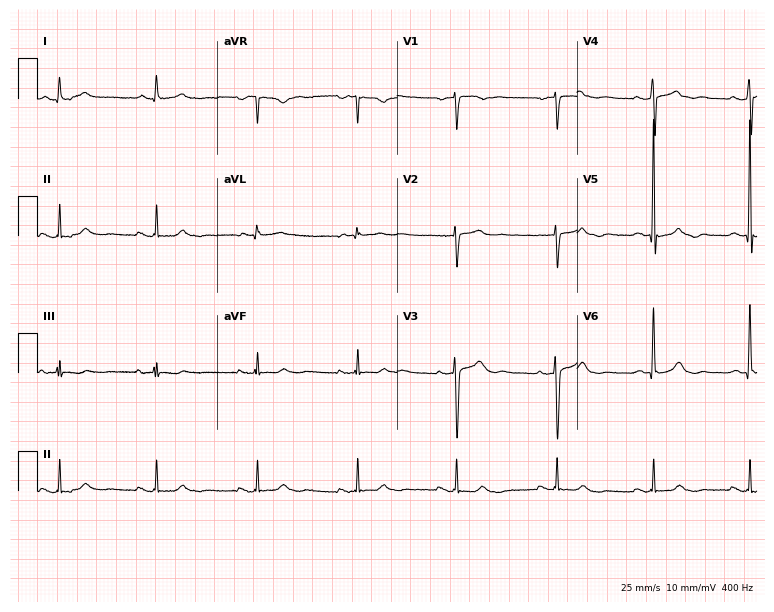
ECG — a 56-year-old woman. Screened for six findings — first-degree AV block, right bundle branch block, left bundle branch block, sinus bradycardia, atrial fibrillation, sinus tachycardia — none is recorded.